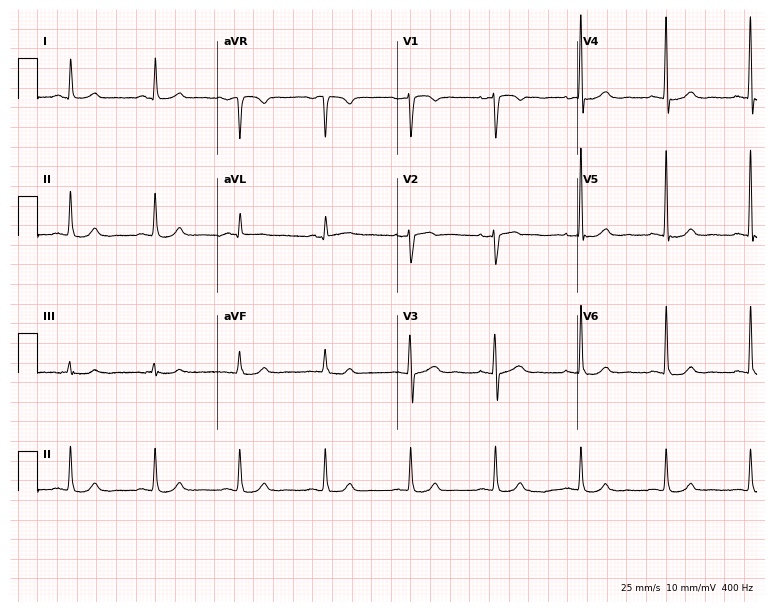
Electrocardiogram (7.3-second recording at 400 Hz), a female patient, 47 years old. Of the six screened findings (first-degree AV block, right bundle branch block, left bundle branch block, sinus bradycardia, atrial fibrillation, sinus tachycardia), none is recorded. Other findings, if any, are not listed.